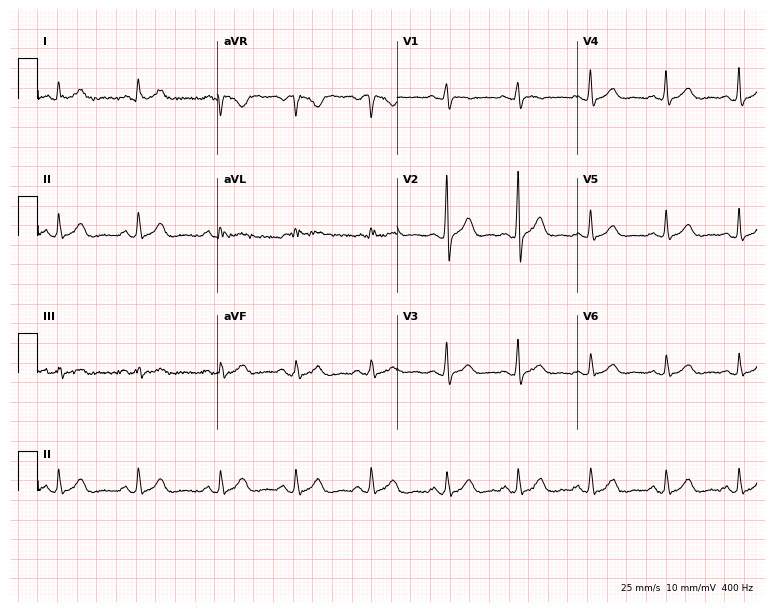
12-lead ECG from a female, 19 years old. Screened for six findings — first-degree AV block, right bundle branch block, left bundle branch block, sinus bradycardia, atrial fibrillation, sinus tachycardia — none is recorded. Findings outside these six are not listed.